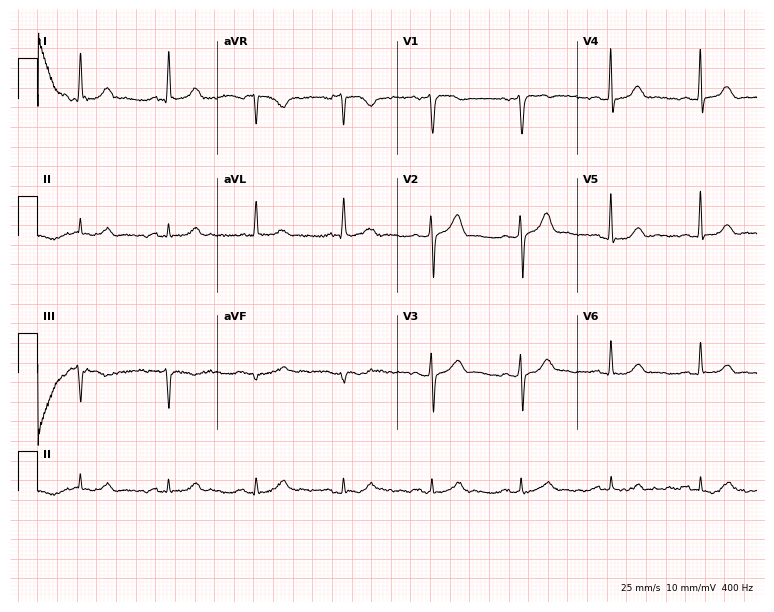
12-lead ECG from a male, 82 years old. Labelled as a normal ECG.